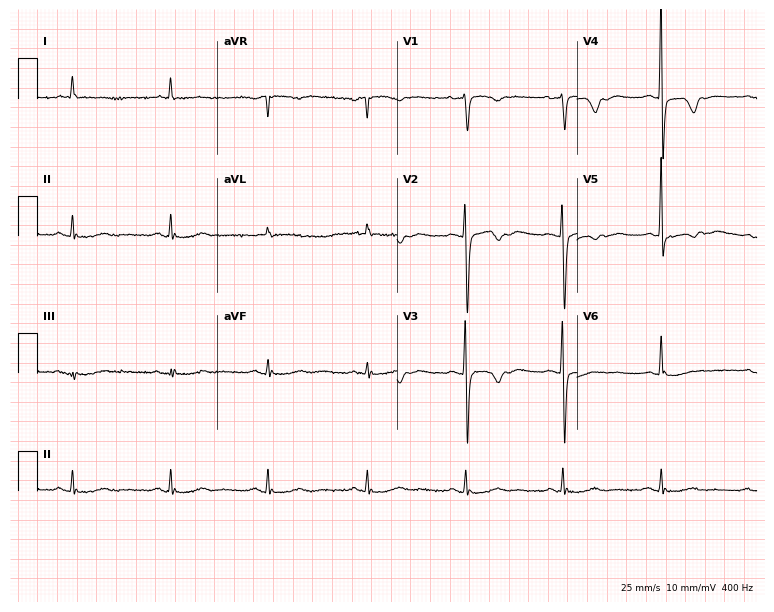
ECG — a female patient, 76 years old. Screened for six findings — first-degree AV block, right bundle branch block, left bundle branch block, sinus bradycardia, atrial fibrillation, sinus tachycardia — none is recorded.